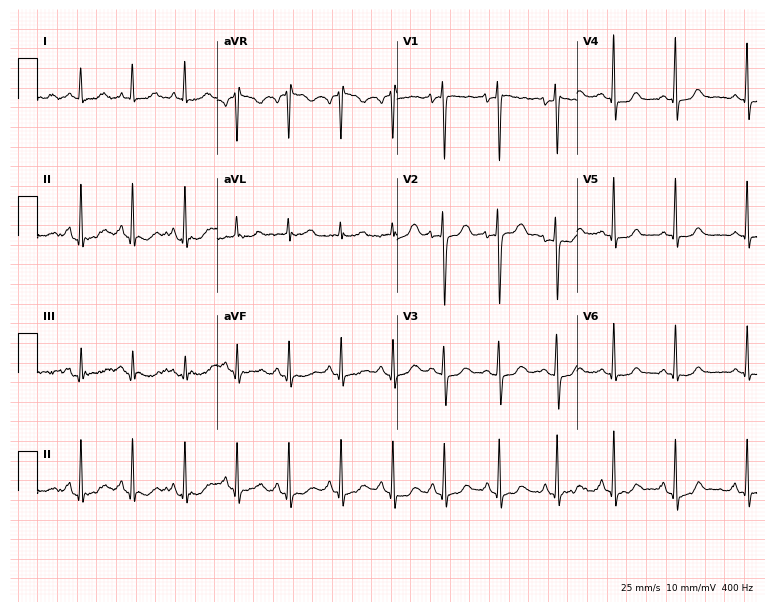
Resting 12-lead electrocardiogram. Patient: a female, 32 years old. The tracing shows sinus tachycardia (a sinus rate of 100 beats per minute or more).